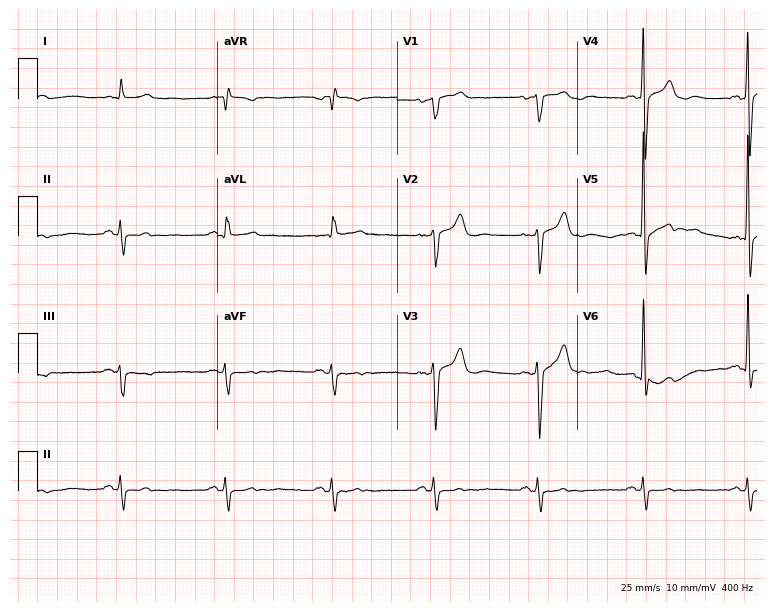
Resting 12-lead electrocardiogram (7.3-second recording at 400 Hz). Patient: a male, 74 years old. None of these six findings is recorded: first-degree AV block, right bundle branch block, left bundle branch block, sinus bradycardia, atrial fibrillation, sinus tachycardia.